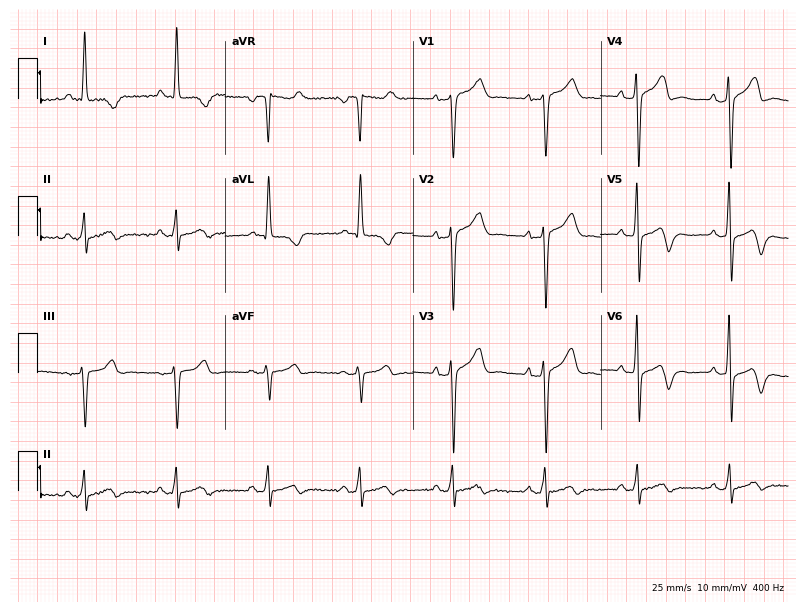
Resting 12-lead electrocardiogram (7.7-second recording at 400 Hz). Patient: a 68-year-old man. Read as a normal ECG.